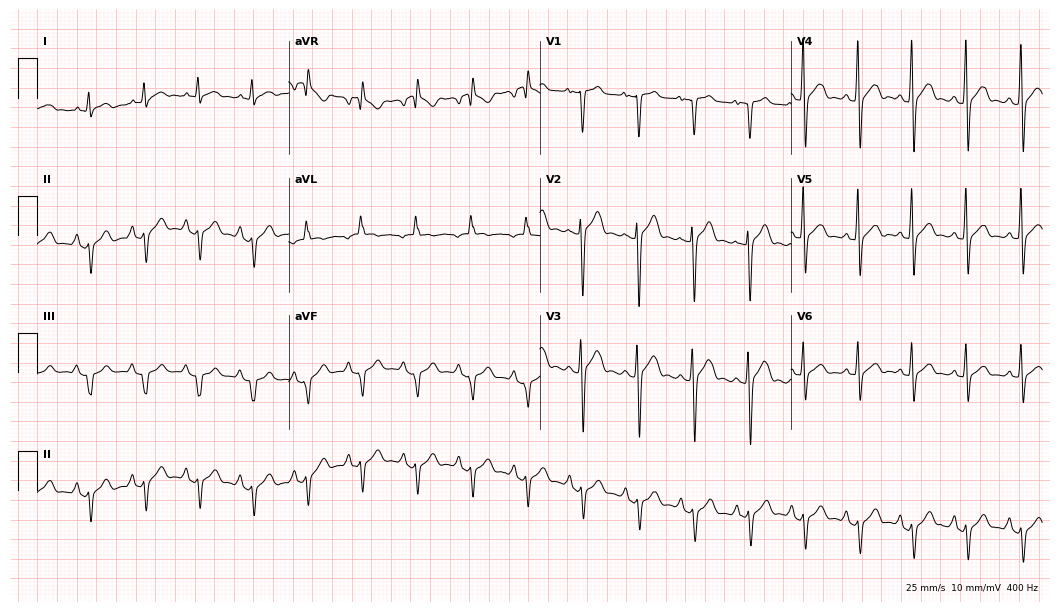
Resting 12-lead electrocardiogram. Patient: a 79-year-old man. None of these six findings is recorded: first-degree AV block, right bundle branch block, left bundle branch block, sinus bradycardia, atrial fibrillation, sinus tachycardia. Only these six findings were labelled.